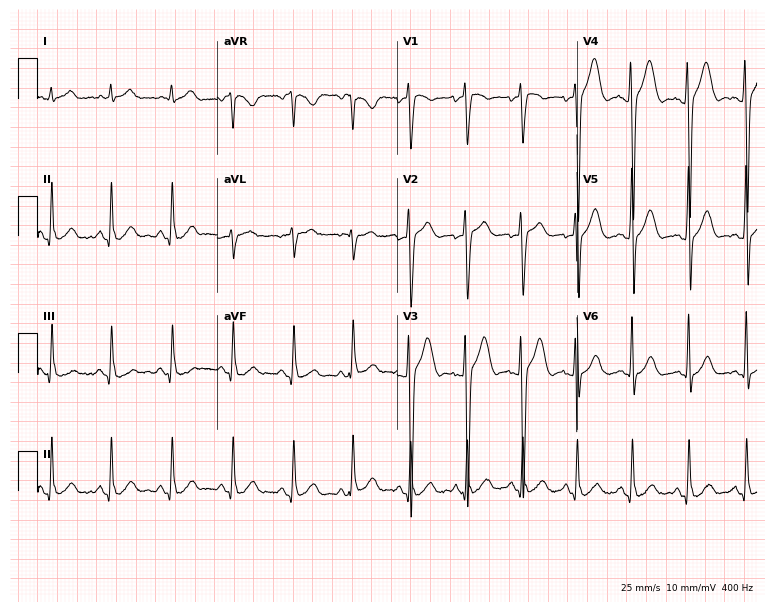
12-lead ECG (7.3-second recording at 400 Hz) from a male patient, 23 years old. Findings include sinus tachycardia (a sinus rate of 100 beats per minute or more).